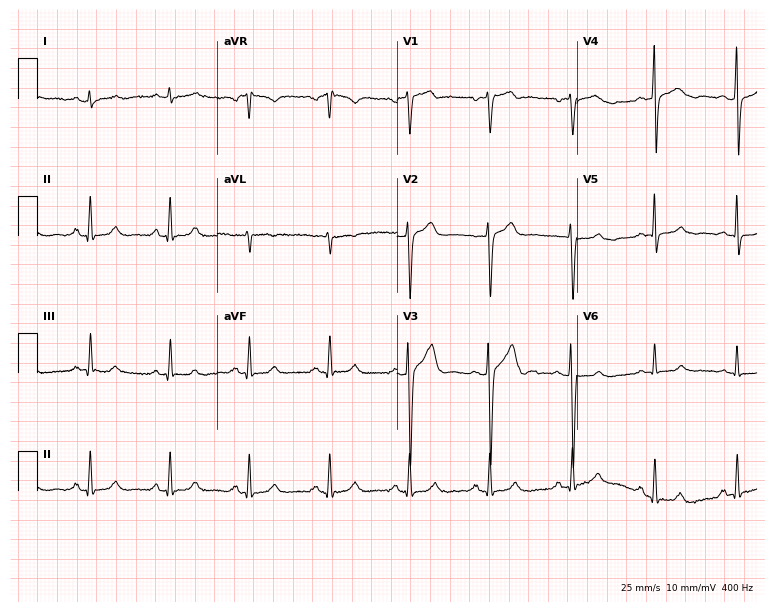
12-lead ECG from a male patient, 47 years old. Recorded interpretation: within normal limits.